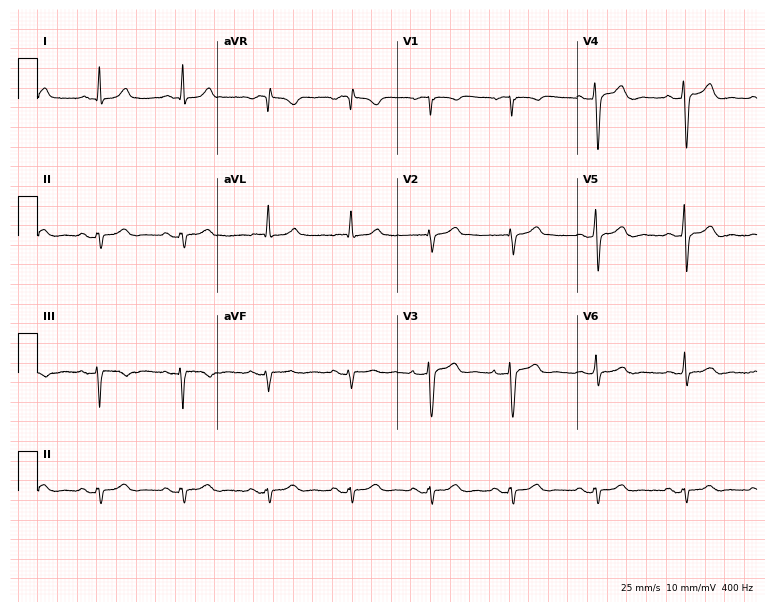
12-lead ECG (7.3-second recording at 400 Hz) from a man, 54 years old. Screened for six findings — first-degree AV block, right bundle branch block, left bundle branch block, sinus bradycardia, atrial fibrillation, sinus tachycardia — none is recorded. Findings outside these six are not listed.